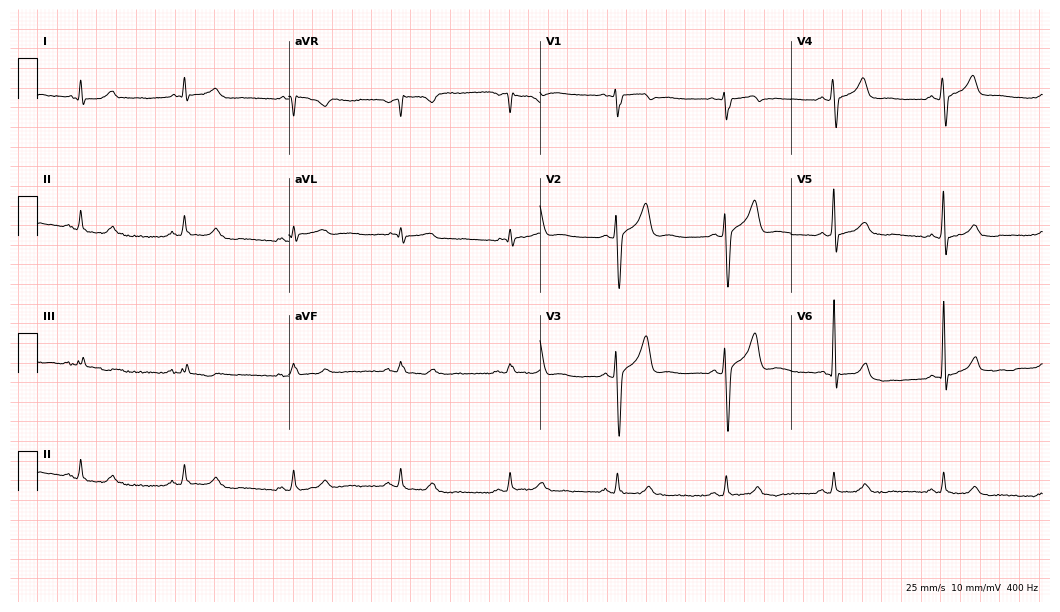
12-lead ECG from a 51-year-old man. Labelled as a normal ECG.